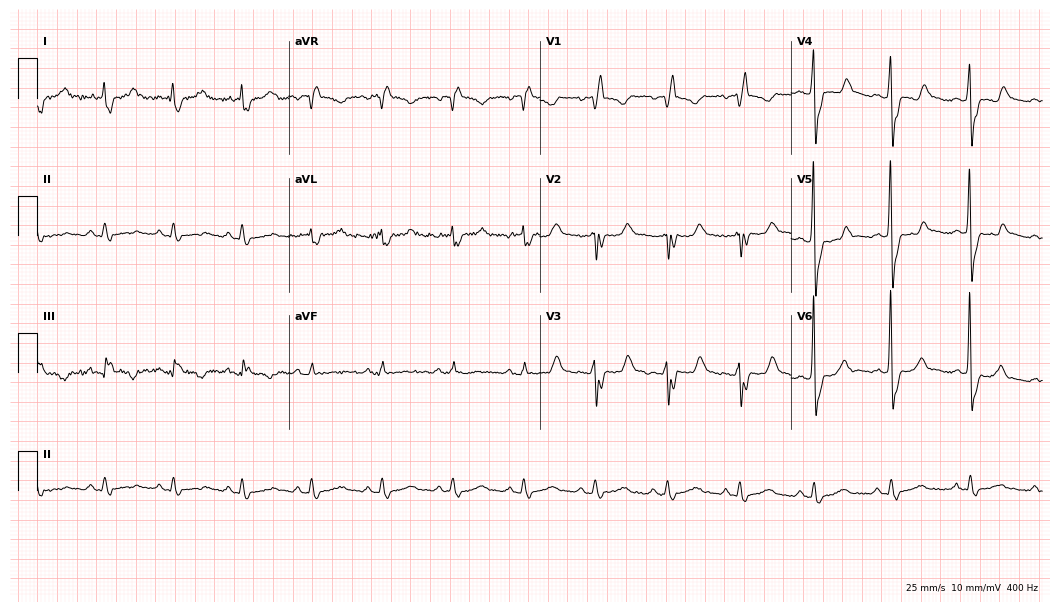
ECG — a 59-year-old male. Findings include right bundle branch block.